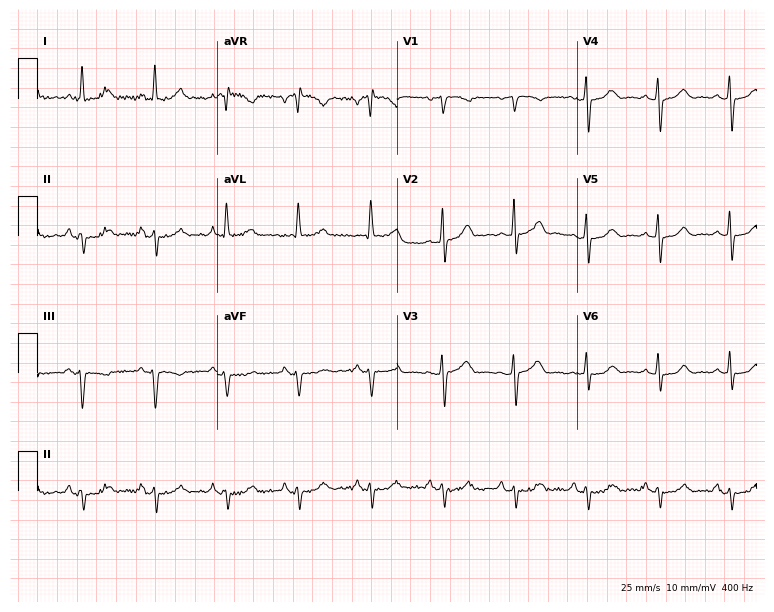
ECG (7.3-second recording at 400 Hz) — a 75-year-old female patient. Screened for six findings — first-degree AV block, right bundle branch block, left bundle branch block, sinus bradycardia, atrial fibrillation, sinus tachycardia — none is recorded. Other findings, if any, are not listed.